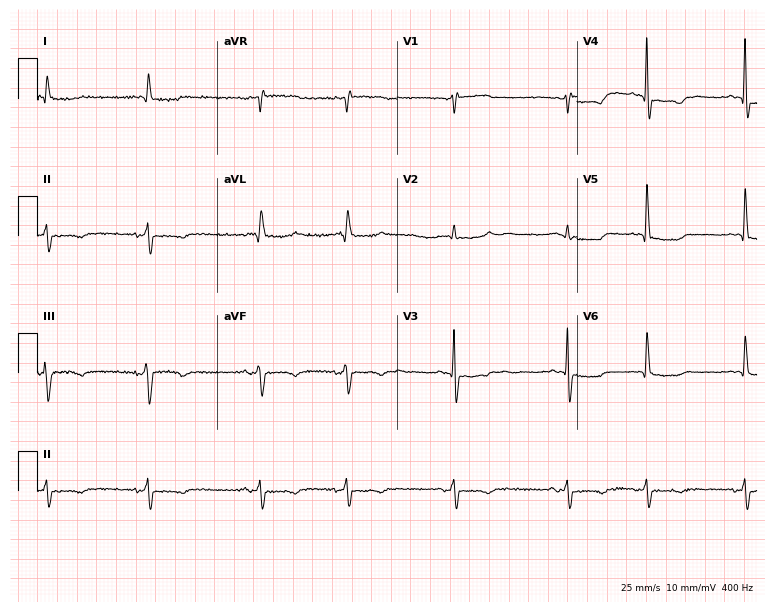
Electrocardiogram, a male, 66 years old. Of the six screened findings (first-degree AV block, right bundle branch block (RBBB), left bundle branch block (LBBB), sinus bradycardia, atrial fibrillation (AF), sinus tachycardia), none is recorded.